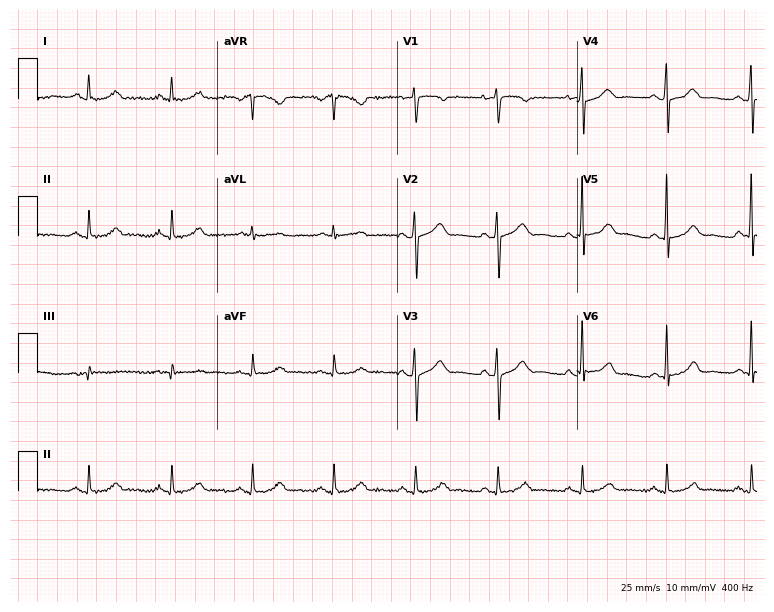
12-lead ECG from a 42-year-old female. Labelled as a normal ECG.